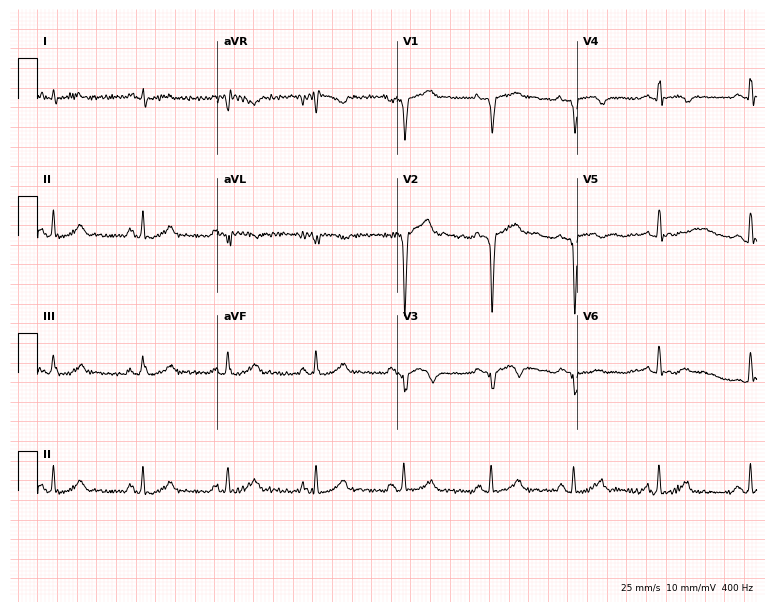
12-lead ECG from a 34-year-old male (7.3-second recording at 400 Hz). No first-degree AV block, right bundle branch block (RBBB), left bundle branch block (LBBB), sinus bradycardia, atrial fibrillation (AF) or sinus tachycardia recorded for this tracing. Only these six findings were labelled.